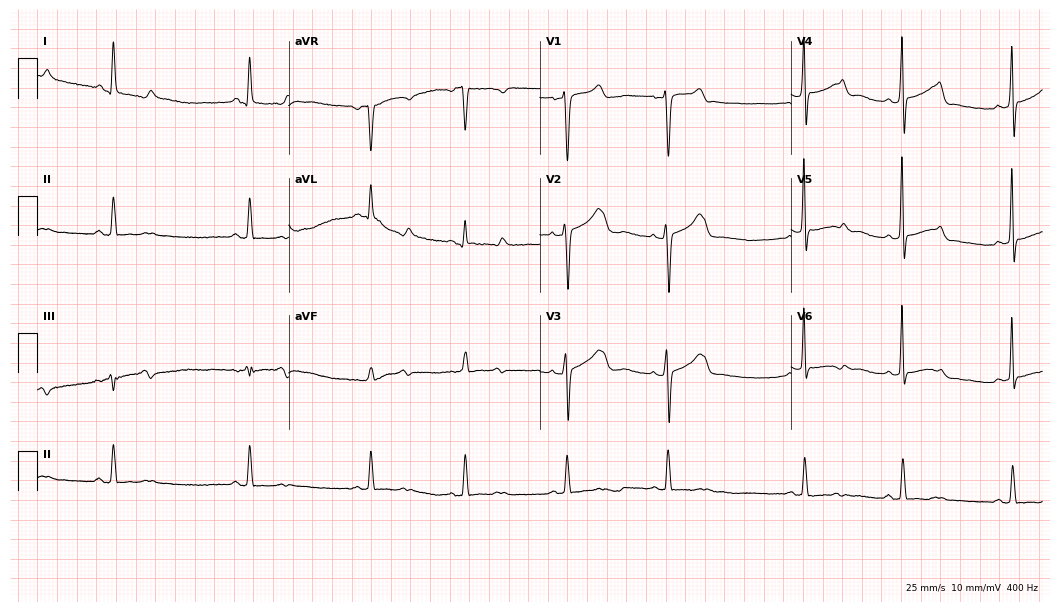
ECG (10.2-second recording at 400 Hz) — a 49-year-old female. Screened for six findings — first-degree AV block, right bundle branch block (RBBB), left bundle branch block (LBBB), sinus bradycardia, atrial fibrillation (AF), sinus tachycardia — none is recorded. Findings outside these six are not listed.